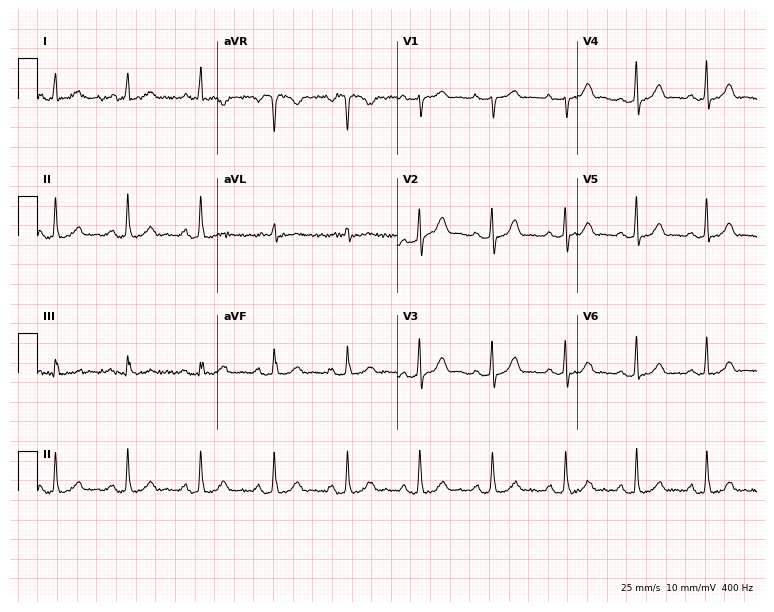
Standard 12-lead ECG recorded from a 57-year-old female patient (7.3-second recording at 400 Hz). Read as a normal ECG.